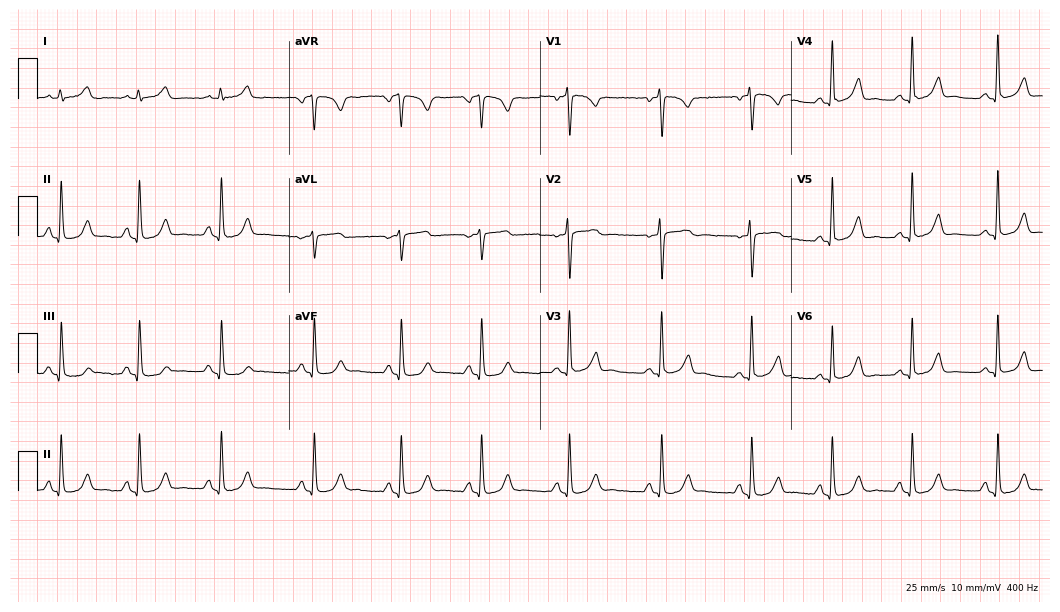
Resting 12-lead electrocardiogram. Patient: a female, 30 years old. None of these six findings is recorded: first-degree AV block, right bundle branch block, left bundle branch block, sinus bradycardia, atrial fibrillation, sinus tachycardia. Only these six findings were labelled.